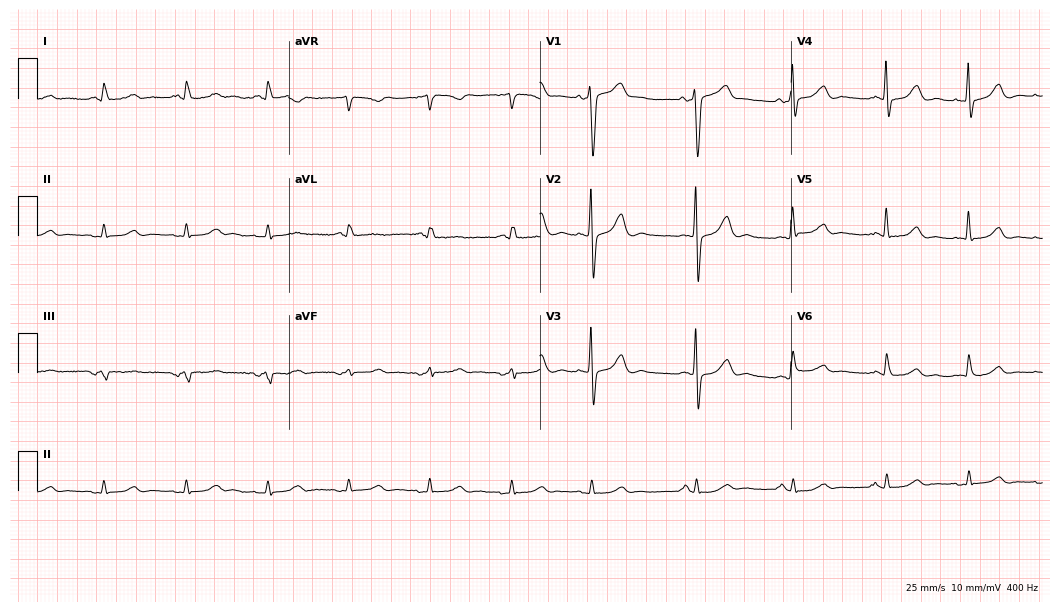
12-lead ECG from a 74-year-old male patient (10.2-second recording at 400 Hz). No first-degree AV block, right bundle branch block, left bundle branch block, sinus bradycardia, atrial fibrillation or sinus tachycardia recorded for this tracing. Only these six findings were labelled.